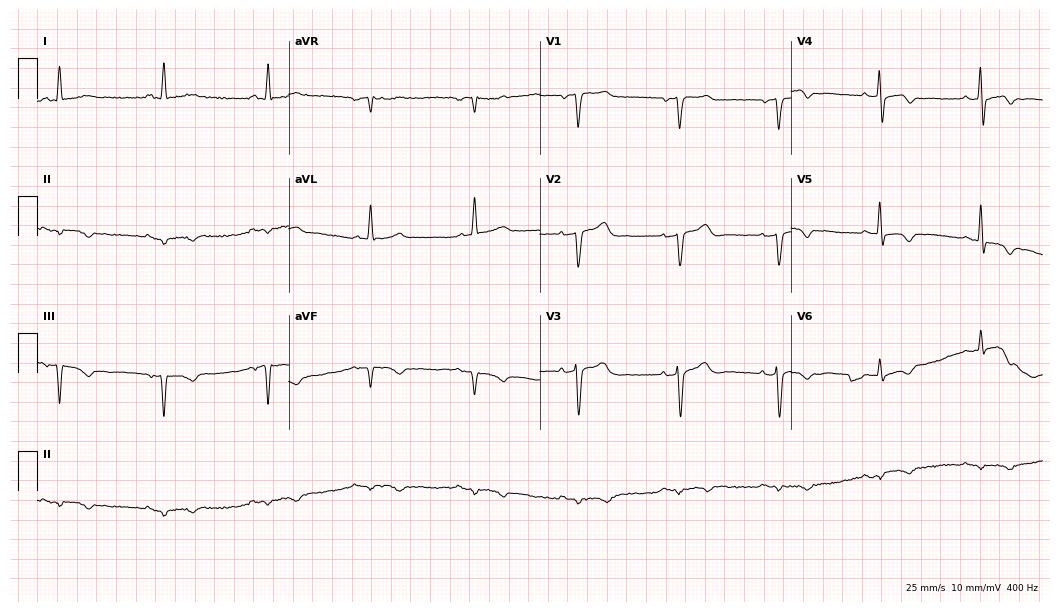
Standard 12-lead ECG recorded from a male, 65 years old. None of these six findings is recorded: first-degree AV block, right bundle branch block, left bundle branch block, sinus bradycardia, atrial fibrillation, sinus tachycardia.